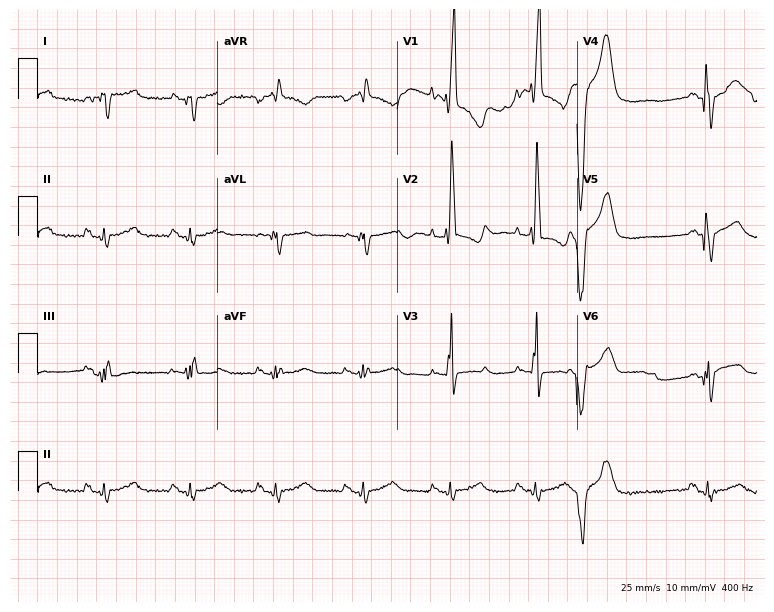
12-lead ECG from a man, 57 years old. Findings include right bundle branch block.